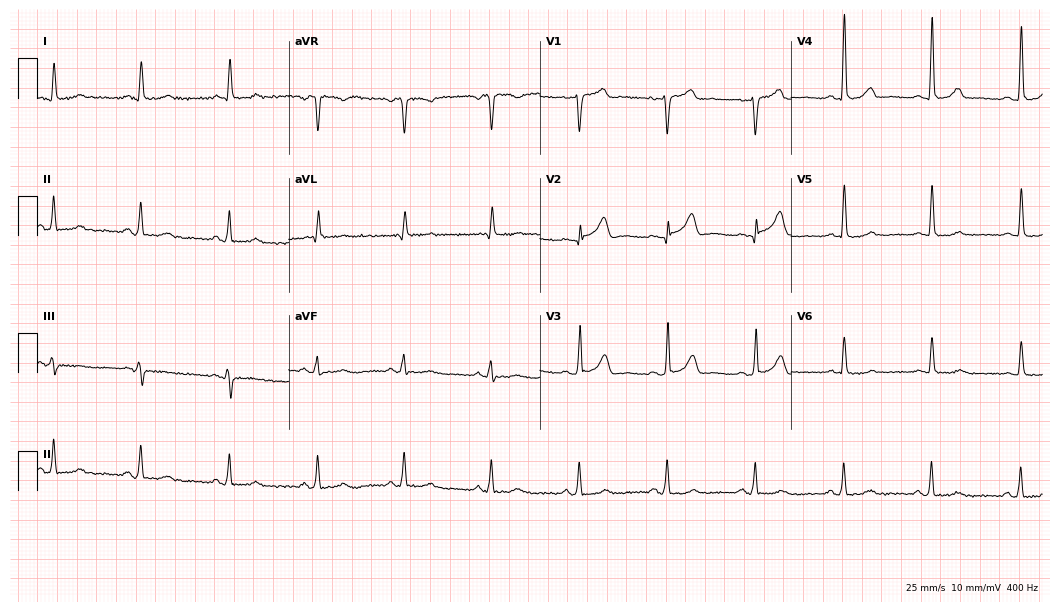
Resting 12-lead electrocardiogram. Patient: a 58-year-old female. None of these six findings is recorded: first-degree AV block, right bundle branch block (RBBB), left bundle branch block (LBBB), sinus bradycardia, atrial fibrillation (AF), sinus tachycardia. Findings outside these six are not listed.